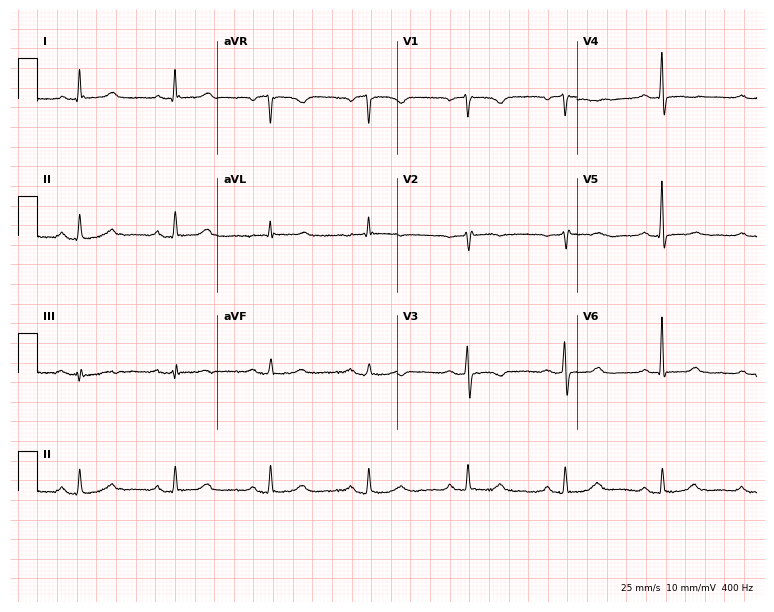
12-lead ECG (7.3-second recording at 400 Hz) from a 60-year-old woman. Screened for six findings — first-degree AV block, right bundle branch block, left bundle branch block, sinus bradycardia, atrial fibrillation, sinus tachycardia — none is recorded. Only these six findings were labelled.